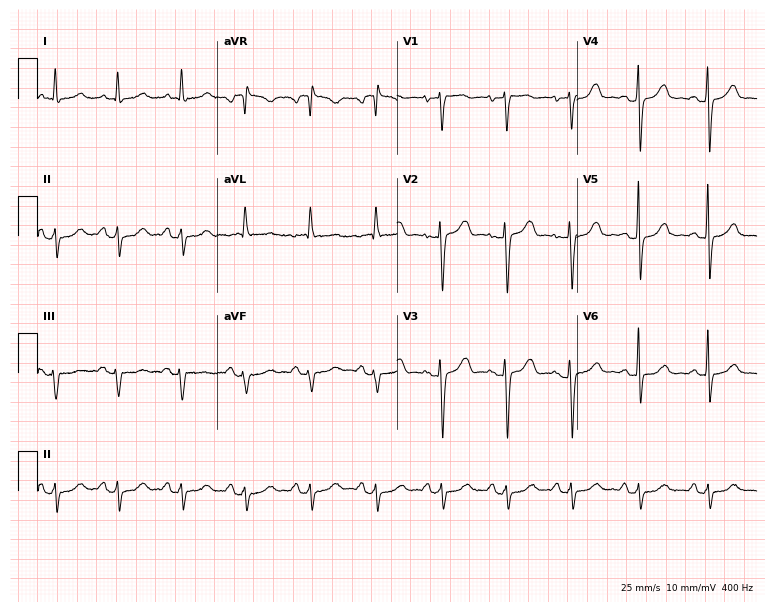
Resting 12-lead electrocardiogram (7.3-second recording at 400 Hz). Patient: a 71-year-old female. None of these six findings is recorded: first-degree AV block, right bundle branch block, left bundle branch block, sinus bradycardia, atrial fibrillation, sinus tachycardia. Findings outside these six are not listed.